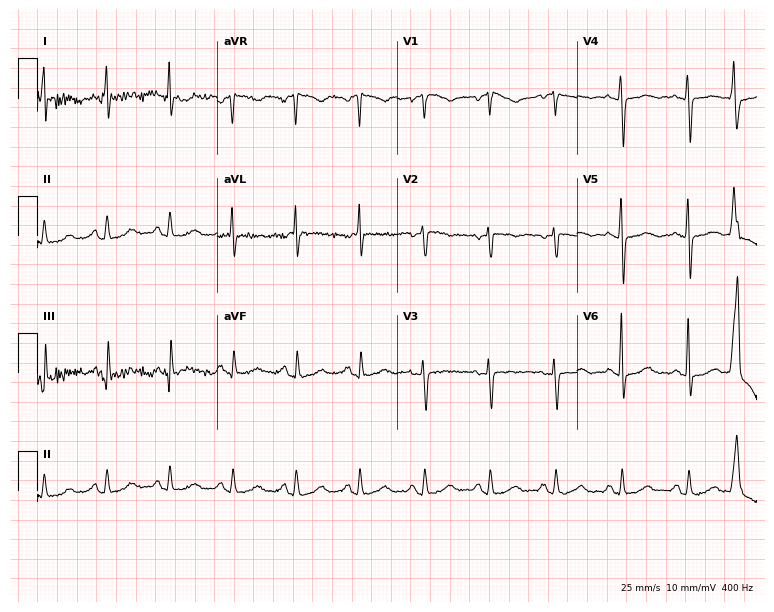
ECG (7.3-second recording at 400 Hz) — a female patient, 78 years old. Screened for six findings — first-degree AV block, right bundle branch block (RBBB), left bundle branch block (LBBB), sinus bradycardia, atrial fibrillation (AF), sinus tachycardia — none is recorded. Only these six findings were labelled.